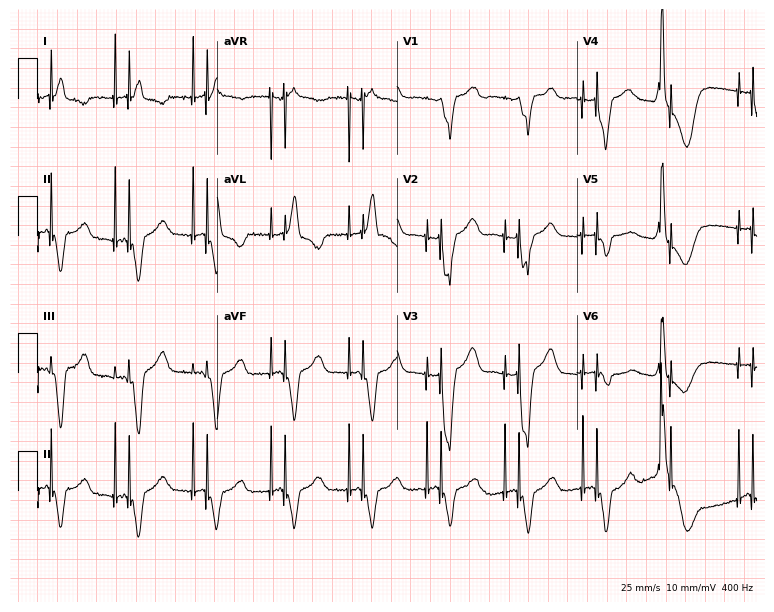
Standard 12-lead ECG recorded from a woman, 88 years old (7.3-second recording at 400 Hz). None of these six findings is recorded: first-degree AV block, right bundle branch block (RBBB), left bundle branch block (LBBB), sinus bradycardia, atrial fibrillation (AF), sinus tachycardia. Findings outside these six are not listed.